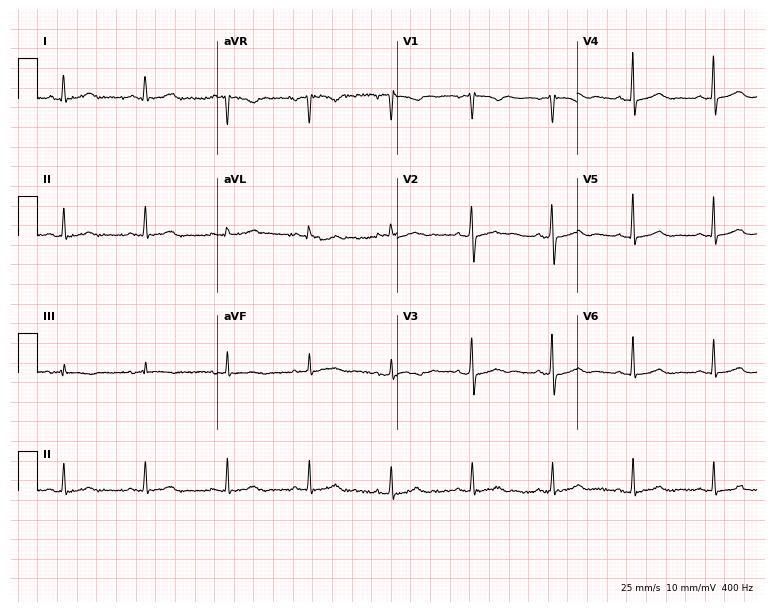
12-lead ECG from a female, 60 years old. Recorded interpretation: within normal limits.